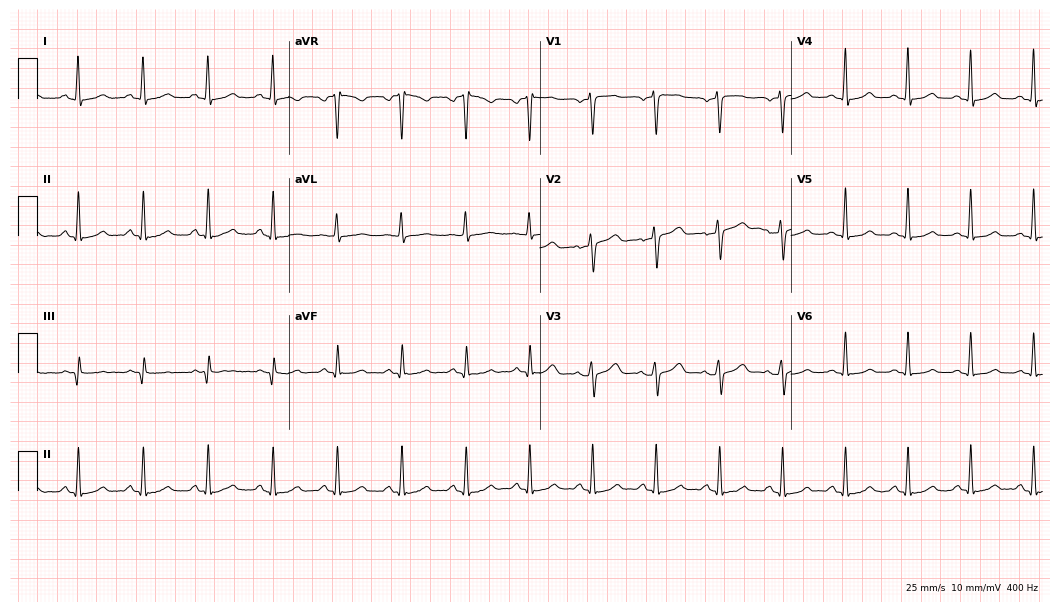
12-lead ECG (10.2-second recording at 400 Hz) from a 30-year-old woman. Labelled as a normal ECG.